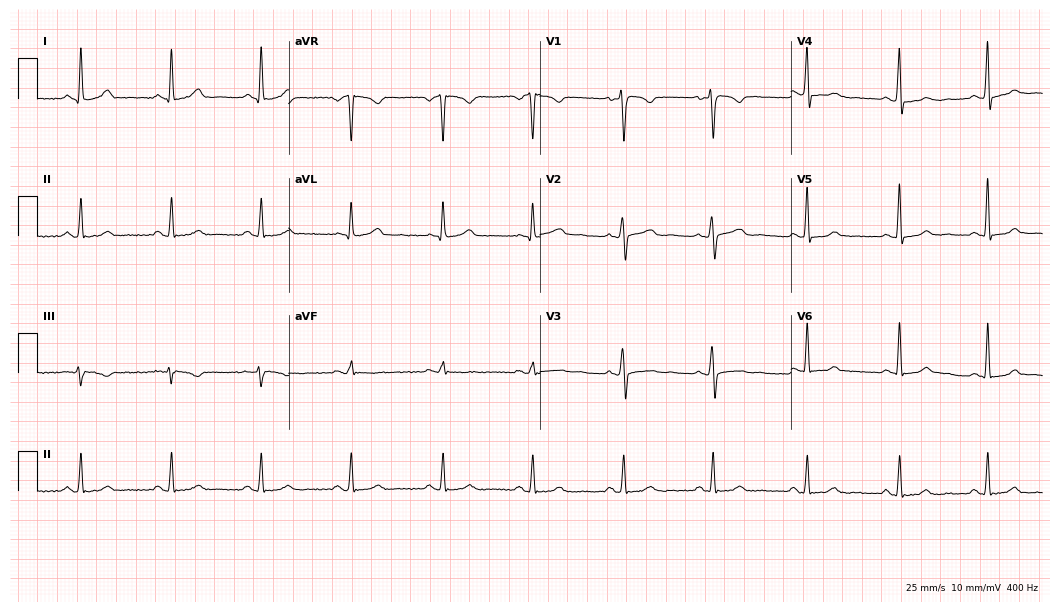
Resting 12-lead electrocardiogram. Patient: a 40-year-old female. None of these six findings is recorded: first-degree AV block, right bundle branch block, left bundle branch block, sinus bradycardia, atrial fibrillation, sinus tachycardia.